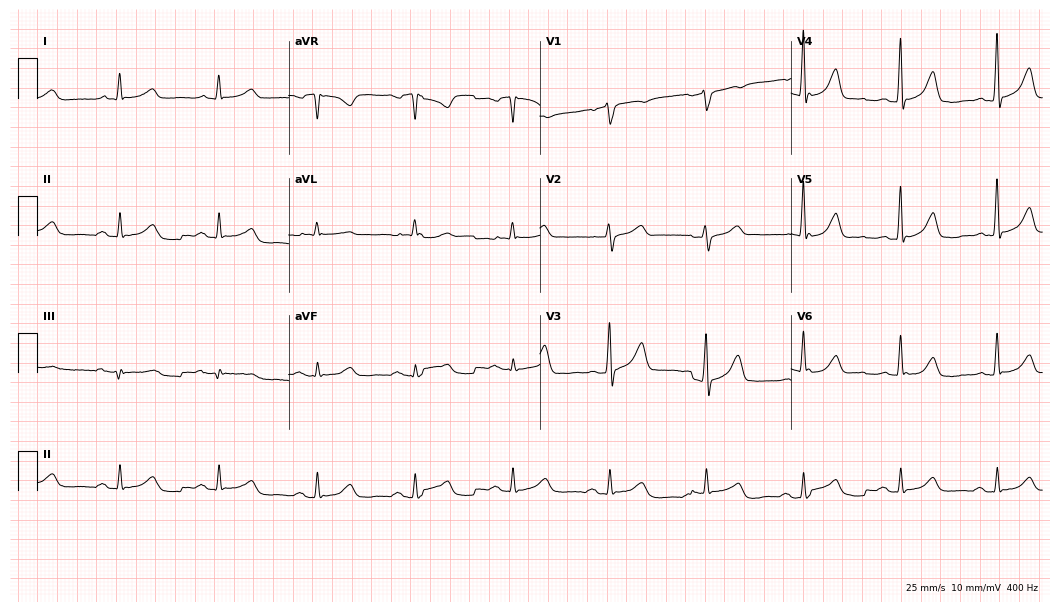
12-lead ECG from a 72-year-old man. No first-degree AV block, right bundle branch block, left bundle branch block, sinus bradycardia, atrial fibrillation or sinus tachycardia recorded for this tracing.